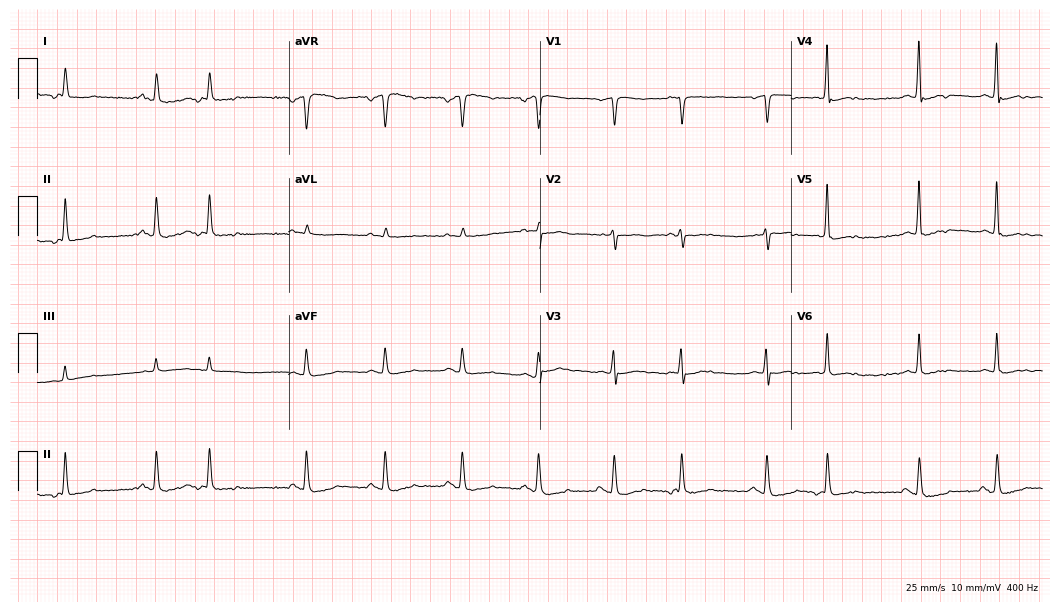
Resting 12-lead electrocardiogram. Patient: an 82-year-old man. Read as a normal ECG.